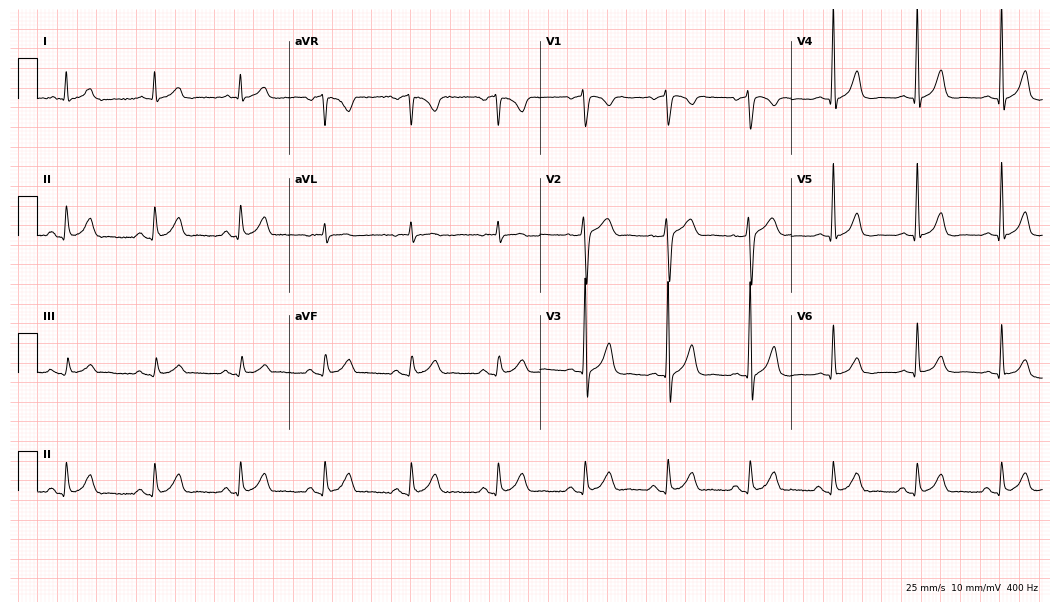
Resting 12-lead electrocardiogram. Patient: a male, 43 years old. Read as a normal ECG.